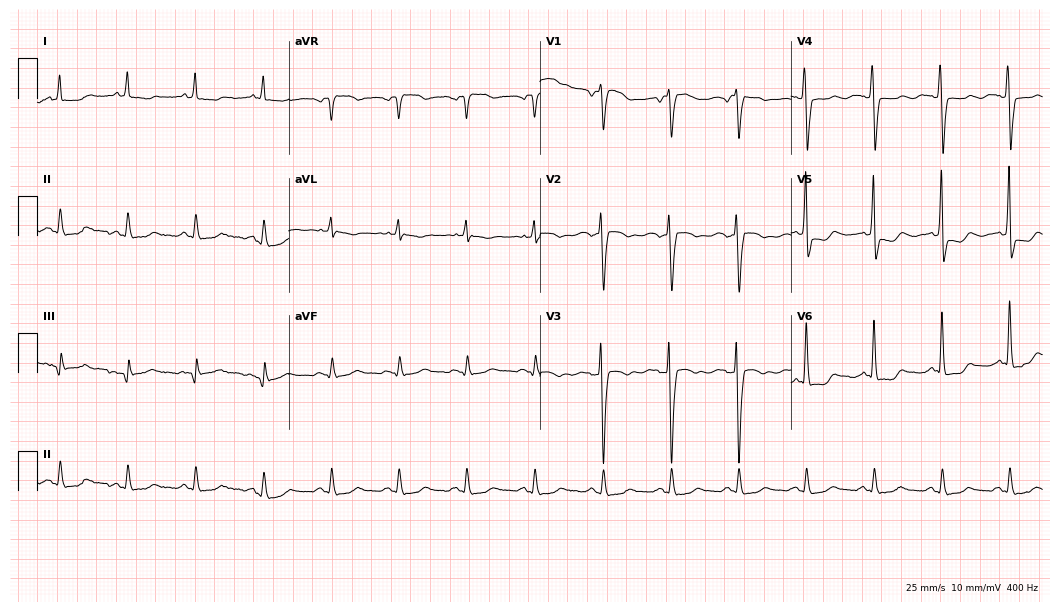
12-lead ECG from a woman, 74 years old. No first-degree AV block, right bundle branch block, left bundle branch block, sinus bradycardia, atrial fibrillation or sinus tachycardia recorded for this tracing.